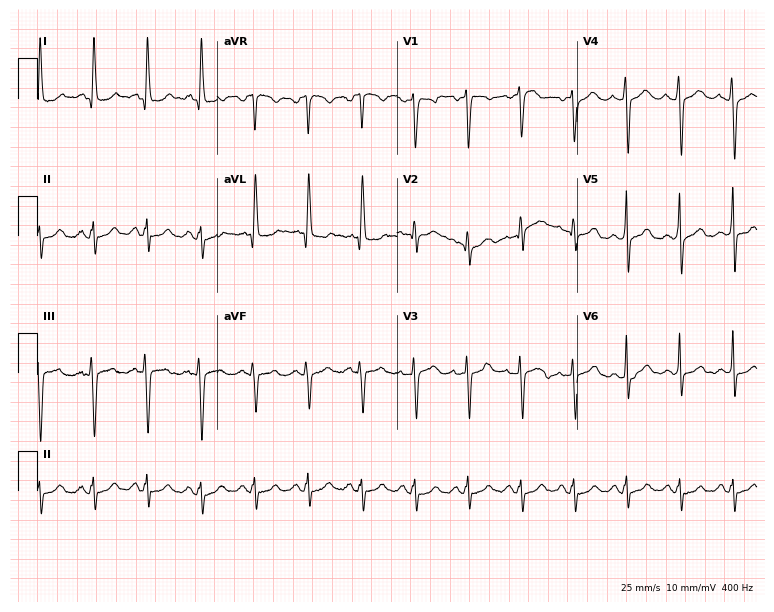
Resting 12-lead electrocardiogram (7.3-second recording at 400 Hz). Patient: a 56-year-old female. The tracing shows sinus tachycardia (a sinus rate of 100 beats per minute or more).